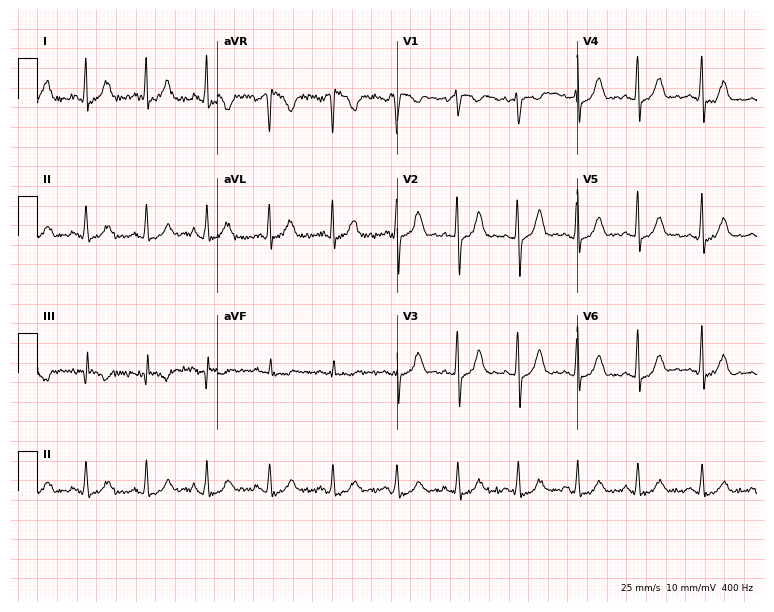
Resting 12-lead electrocardiogram. Patient: a 32-year-old woman. Read as a normal ECG.